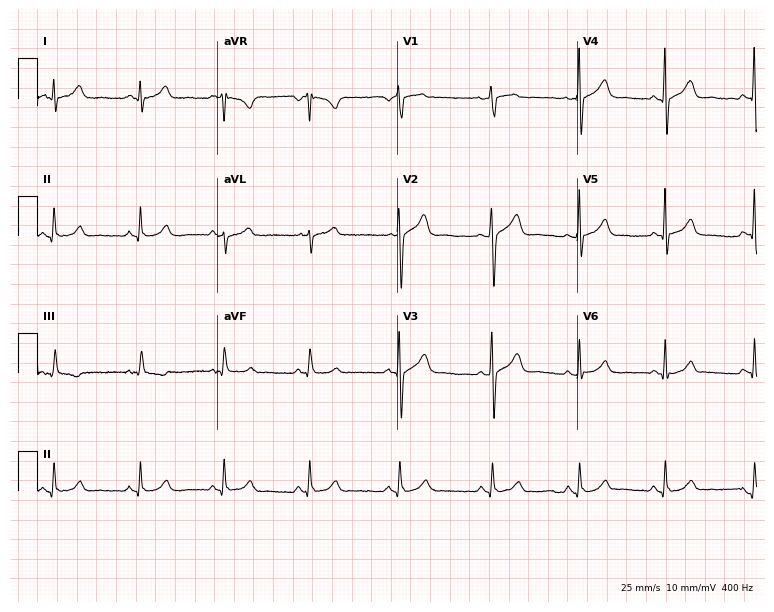
Resting 12-lead electrocardiogram (7.3-second recording at 400 Hz). Patient: a 37-year-old woman. Read as a normal ECG.